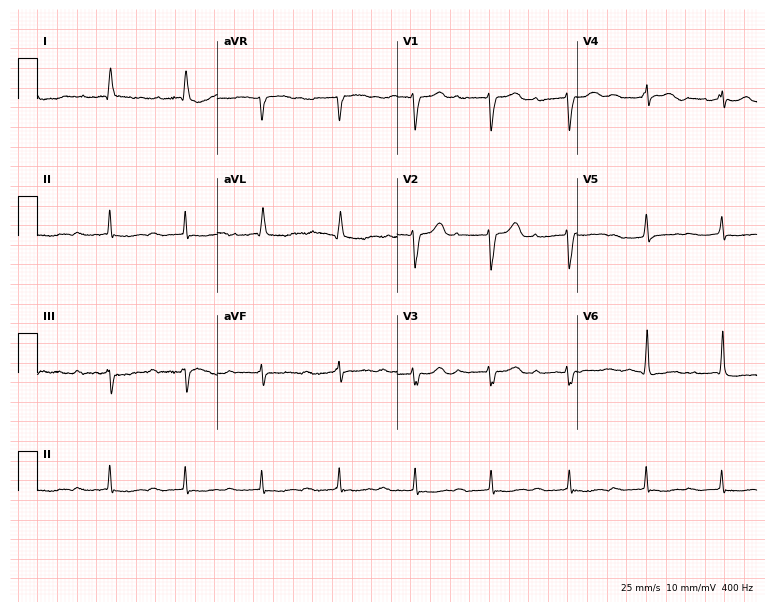
ECG — a female patient, 79 years old. Findings include first-degree AV block.